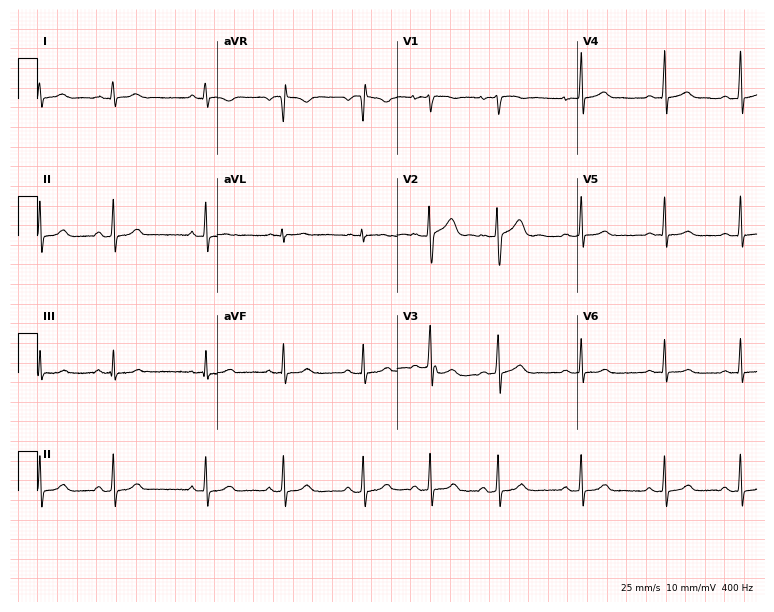
12-lead ECG (7.3-second recording at 400 Hz) from a female, 18 years old. Labelled as a normal ECG.